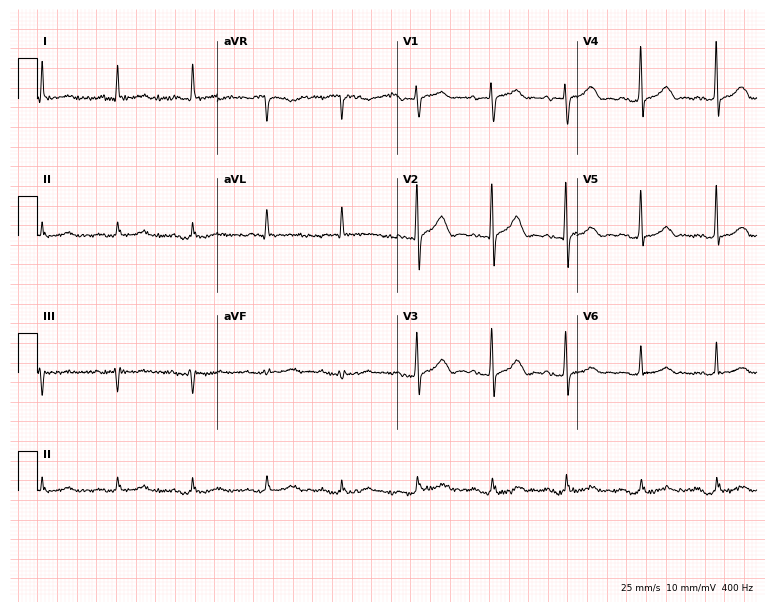
Electrocardiogram (7.3-second recording at 400 Hz), a male patient, 84 years old. Overall reading on record: normal ECG.